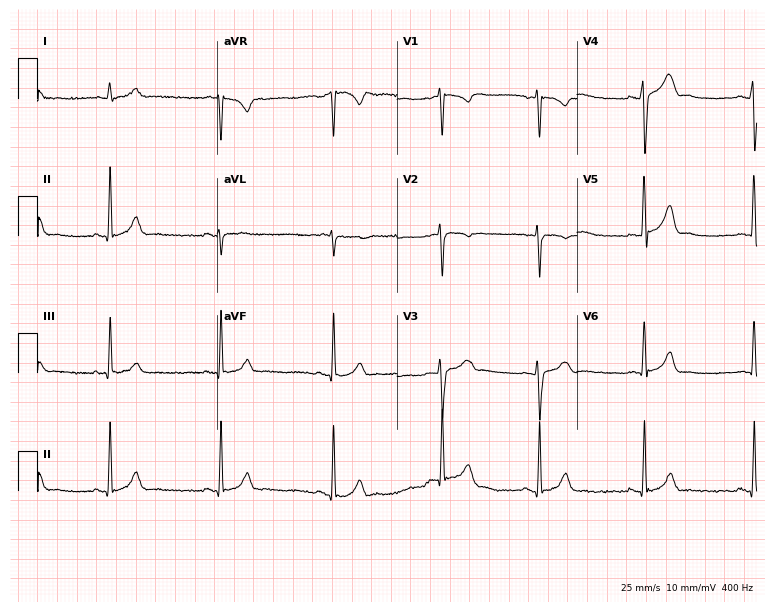
Electrocardiogram (7.3-second recording at 400 Hz), a 34-year-old female patient. Overall reading on record: normal ECG.